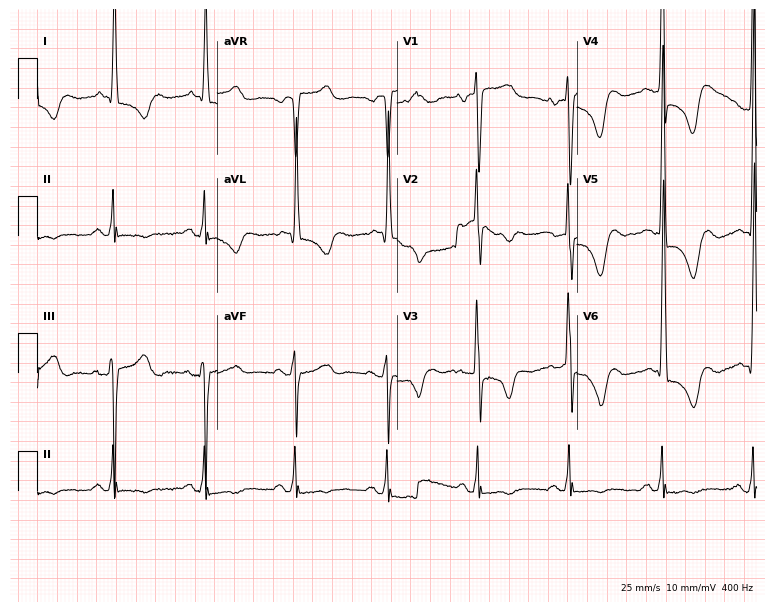
Standard 12-lead ECG recorded from a 77-year-old woman. None of these six findings is recorded: first-degree AV block, right bundle branch block, left bundle branch block, sinus bradycardia, atrial fibrillation, sinus tachycardia.